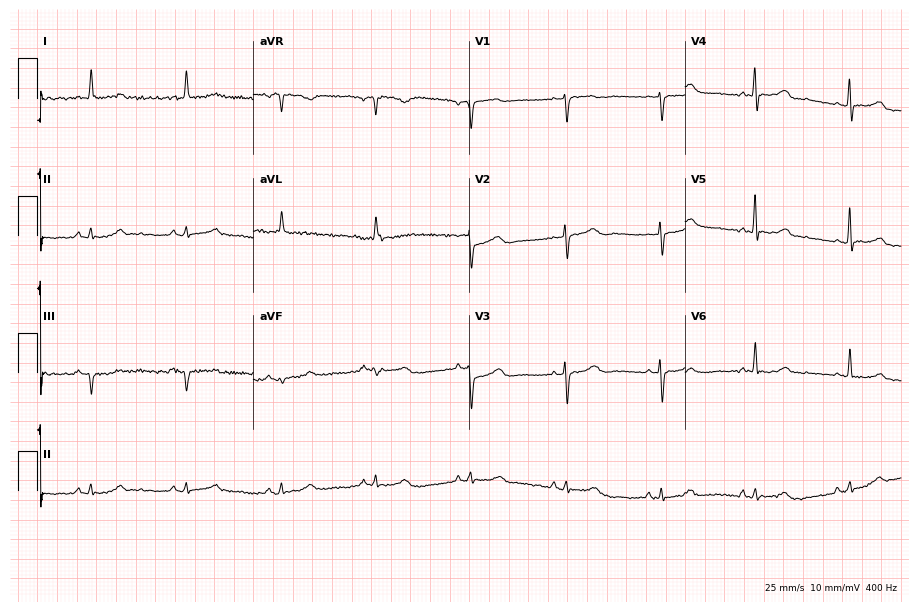
Electrocardiogram (8.8-second recording at 400 Hz), a female, 82 years old. Of the six screened findings (first-degree AV block, right bundle branch block (RBBB), left bundle branch block (LBBB), sinus bradycardia, atrial fibrillation (AF), sinus tachycardia), none is recorded.